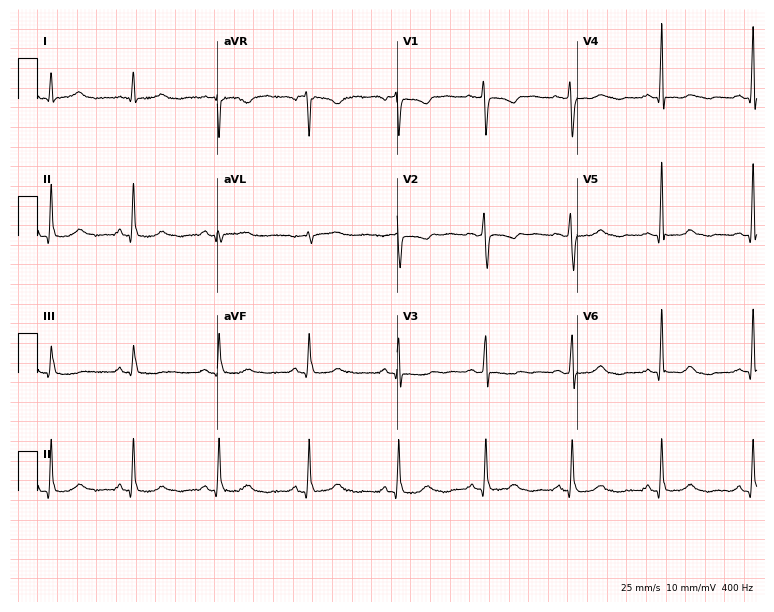
ECG — a female, 43 years old. Screened for six findings — first-degree AV block, right bundle branch block, left bundle branch block, sinus bradycardia, atrial fibrillation, sinus tachycardia — none is recorded. Only these six findings were labelled.